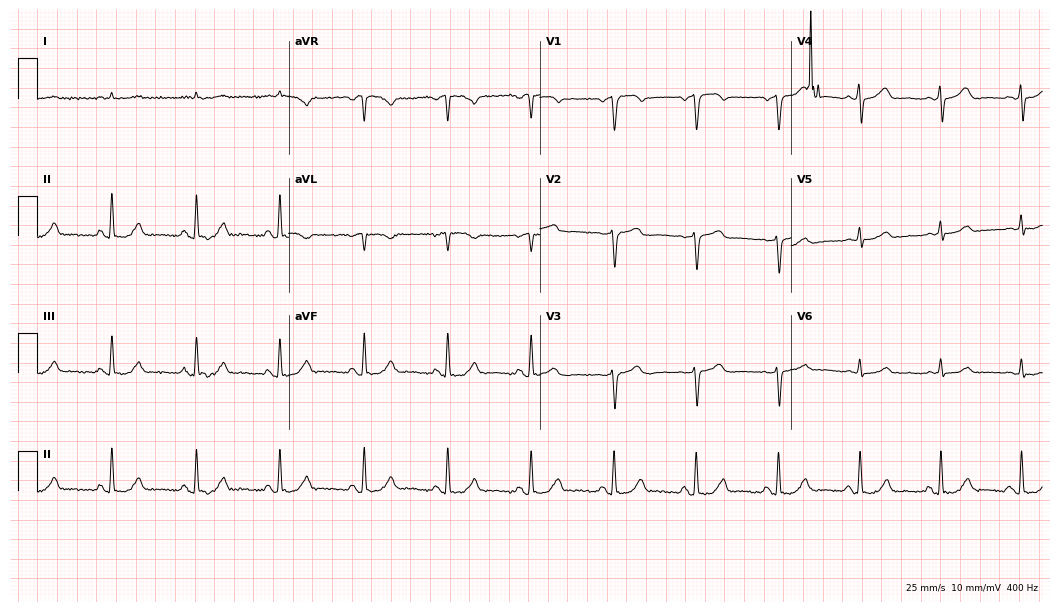
Electrocardiogram (10.2-second recording at 400 Hz), a 79-year-old man. Of the six screened findings (first-degree AV block, right bundle branch block, left bundle branch block, sinus bradycardia, atrial fibrillation, sinus tachycardia), none is recorded.